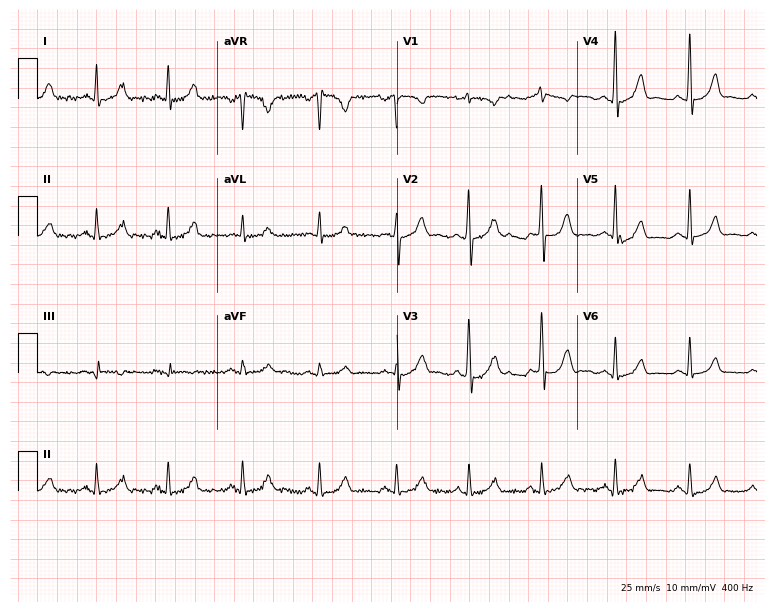
Standard 12-lead ECG recorded from a 34-year-old woman. Read as a normal ECG.